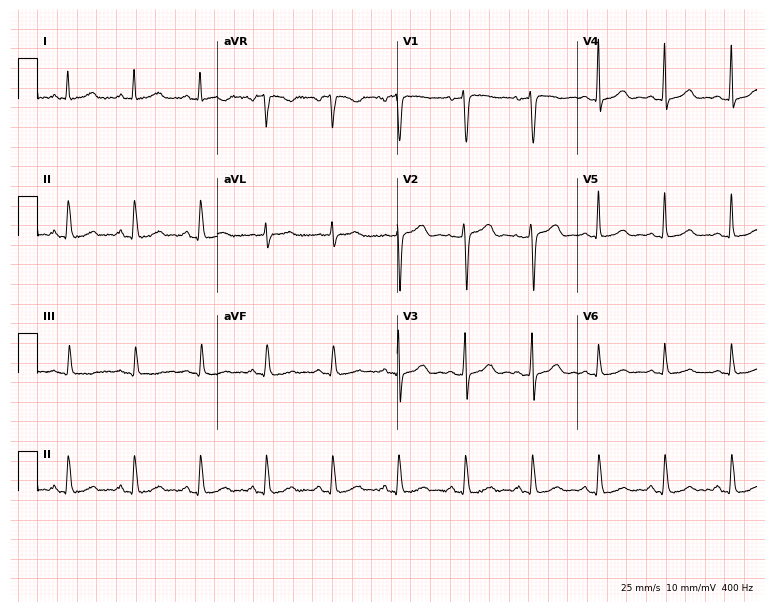
ECG — a 75-year-old female. Labelled as a normal ECG.